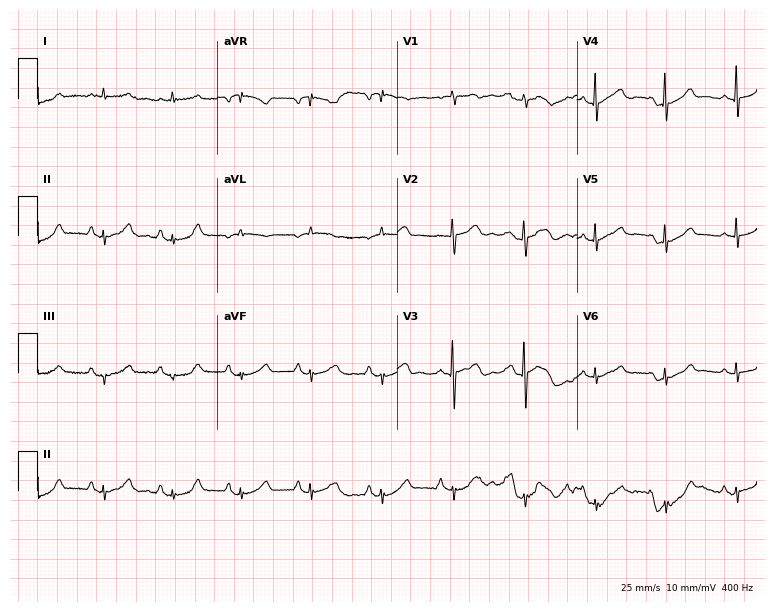
Resting 12-lead electrocardiogram (7.3-second recording at 400 Hz). Patient: a woman, 83 years old. None of these six findings is recorded: first-degree AV block, right bundle branch block (RBBB), left bundle branch block (LBBB), sinus bradycardia, atrial fibrillation (AF), sinus tachycardia.